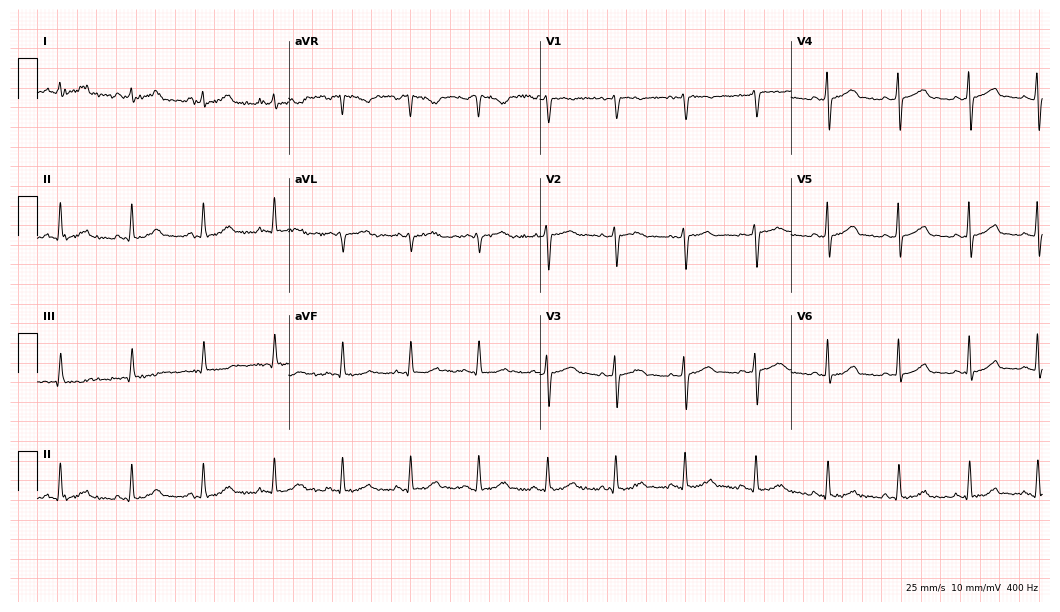
ECG (10.2-second recording at 400 Hz) — a female patient, 40 years old. Screened for six findings — first-degree AV block, right bundle branch block, left bundle branch block, sinus bradycardia, atrial fibrillation, sinus tachycardia — none is recorded.